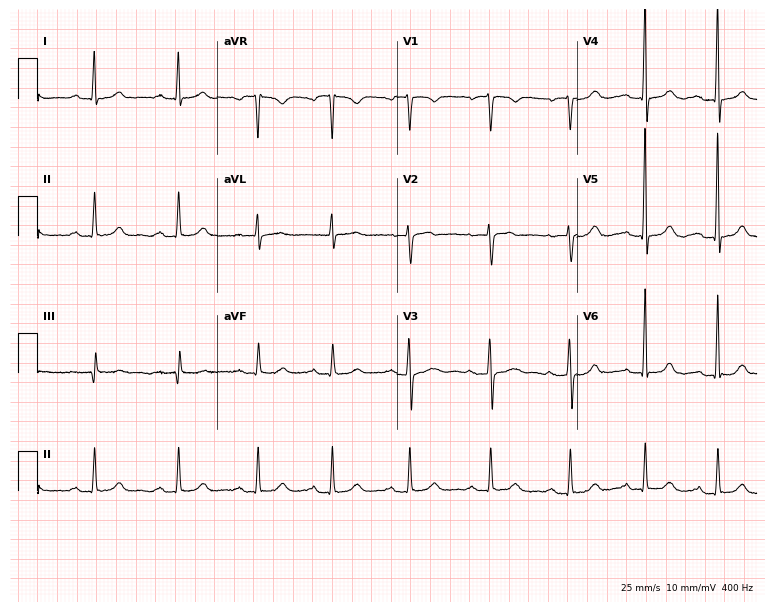
ECG — a woman, 68 years old. Labelled as a normal ECG.